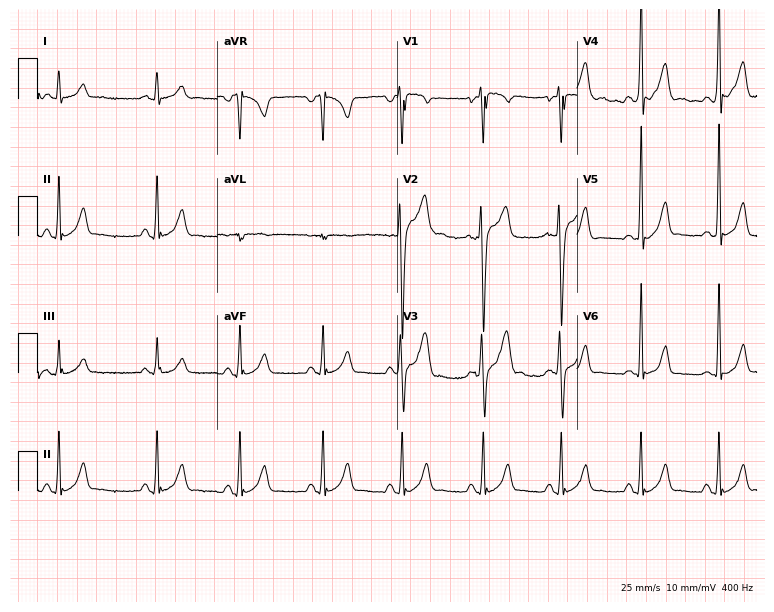
Standard 12-lead ECG recorded from a man, 22 years old. None of these six findings is recorded: first-degree AV block, right bundle branch block, left bundle branch block, sinus bradycardia, atrial fibrillation, sinus tachycardia. Findings outside these six are not listed.